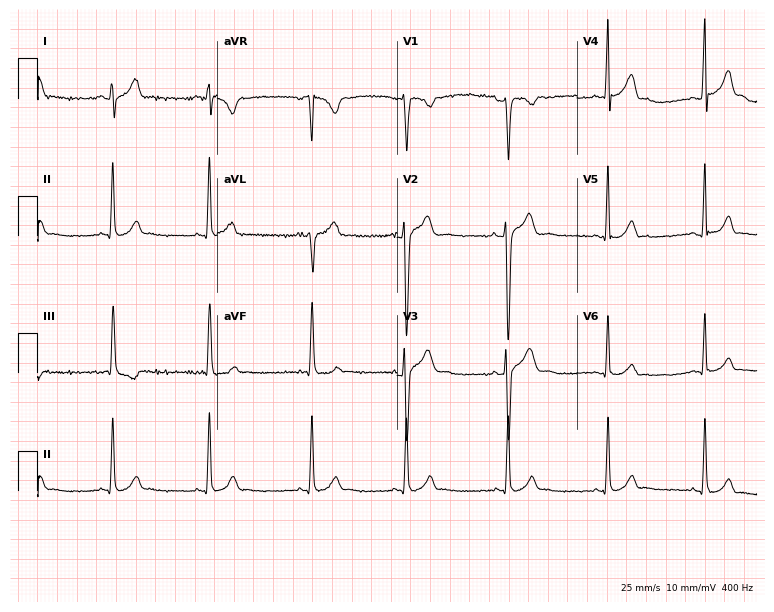
Standard 12-lead ECG recorded from a 19-year-old male (7.3-second recording at 400 Hz). Read as a normal ECG.